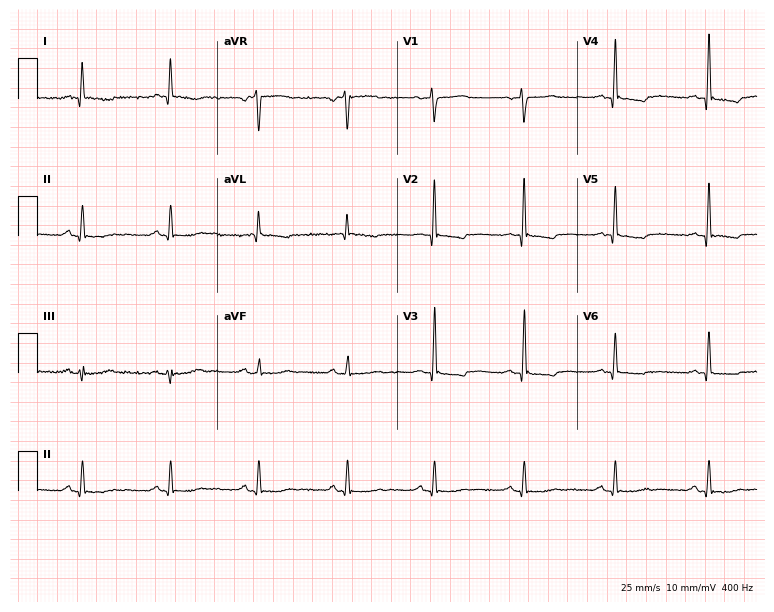
12-lead ECG from an 80-year-old female patient. Screened for six findings — first-degree AV block, right bundle branch block, left bundle branch block, sinus bradycardia, atrial fibrillation, sinus tachycardia — none is recorded.